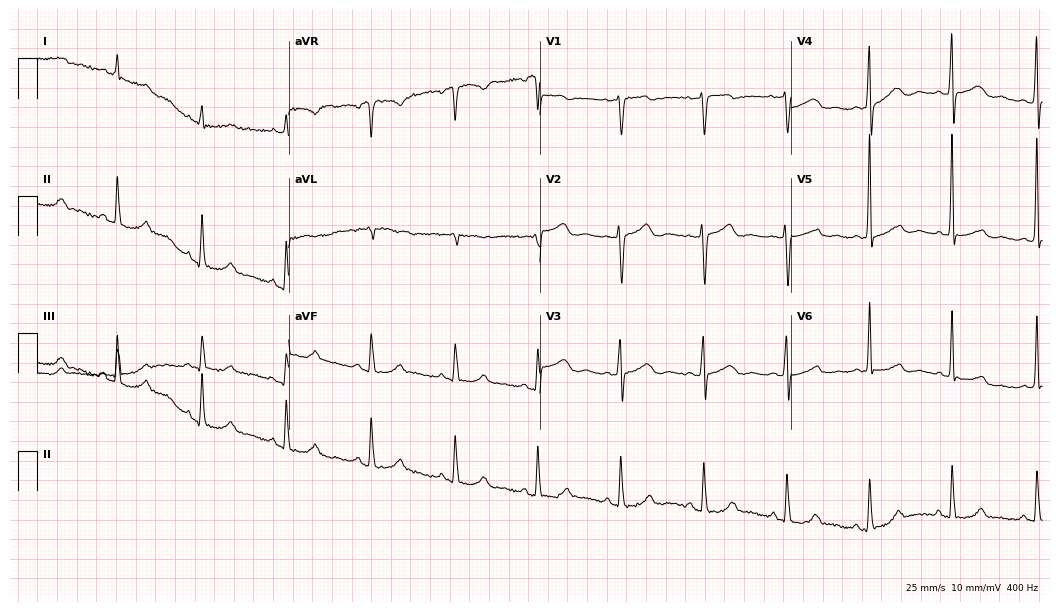
Electrocardiogram, a 74-year-old female. Of the six screened findings (first-degree AV block, right bundle branch block, left bundle branch block, sinus bradycardia, atrial fibrillation, sinus tachycardia), none is recorded.